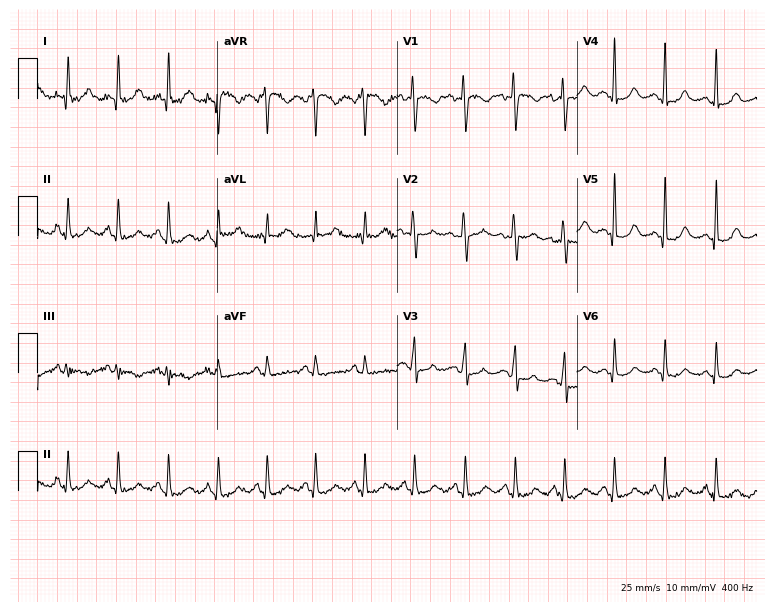
Standard 12-lead ECG recorded from a 37-year-old woman. None of these six findings is recorded: first-degree AV block, right bundle branch block (RBBB), left bundle branch block (LBBB), sinus bradycardia, atrial fibrillation (AF), sinus tachycardia. Only these six findings were labelled.